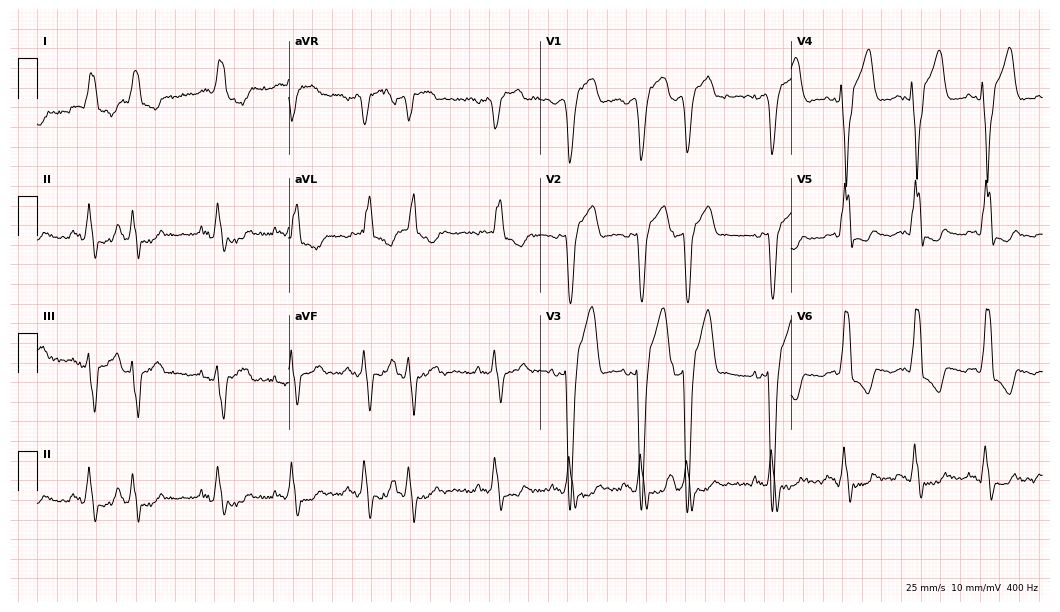
Resting 12-lead electrocardiogram. Patient: a woman, 84 years old. The tracing shows left bundle branch block.